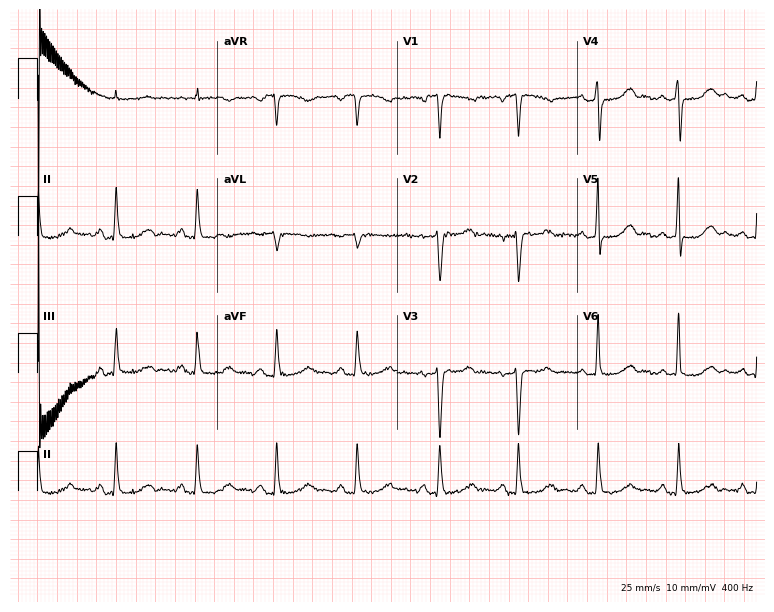
Electrocardiogram, a 52-year-old female. Of the six screened findings (first-degree AV block, right bundle branch block, left bundle branch block, sinus bradycardia, atrial fibrillation, sinus tachycardia), none is recorded.